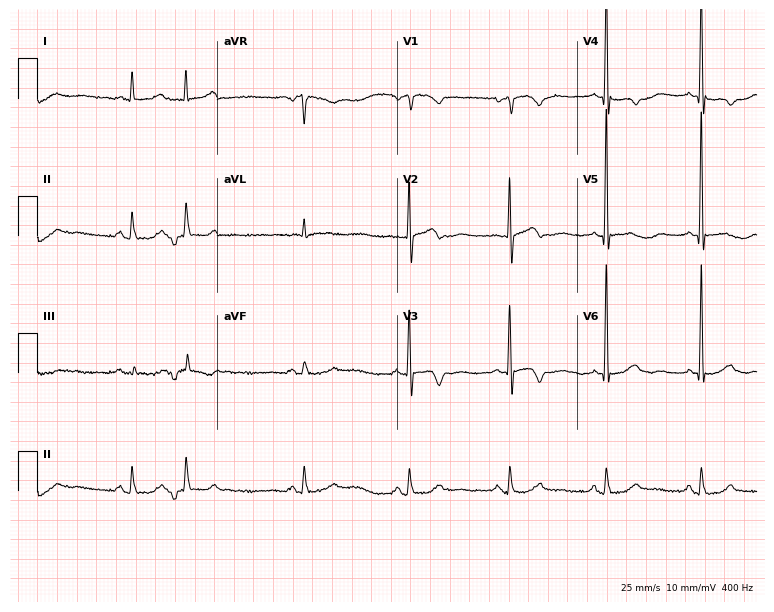
Electrocardiogram (7.3-second recording at 400 Hz), a female patient, 84 years old. Of the six screened findings (first-degree AV block, right bundle branch block (RBBB), left bundle branch block (LBBB), sinus bradycardia, atrial fibrillation (AF), sinus tachycardia), none is recorded.